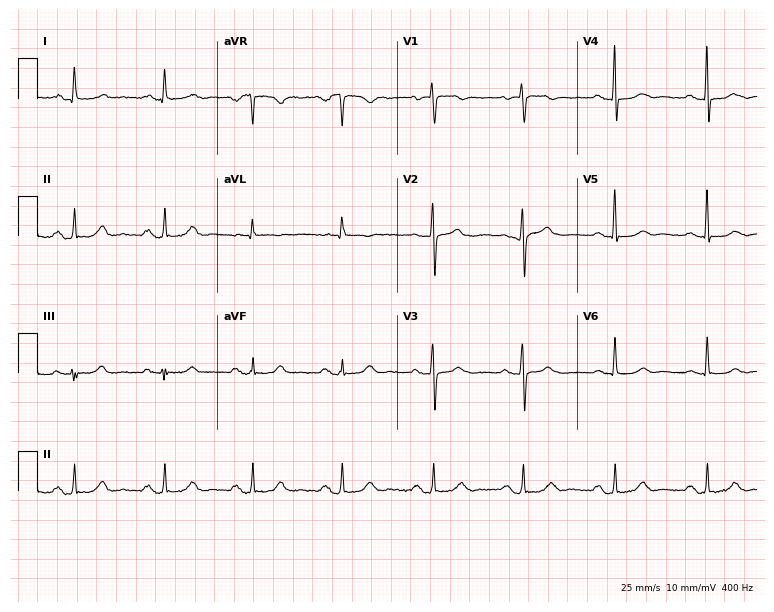
12-lead ECG from a woman, 66 years old. Labelled as a normal ECG.